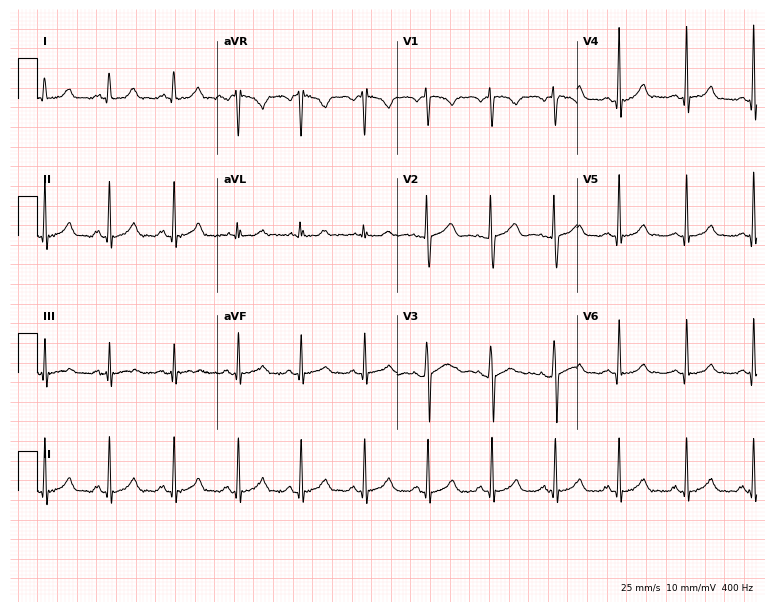
ECG (7.3-second recording at 400 Hz) — an 18-year-old woman. Labelled as a normal ECG.